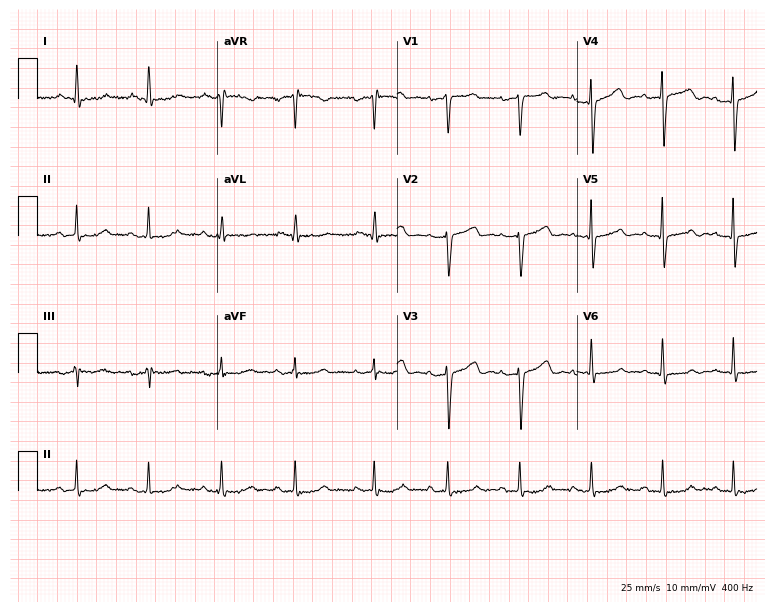
Resting 12-lead electrocardiogram (7.3-second recording at 400 Hz). Patient: a woman, 70 years old. Read as a normal ECG.